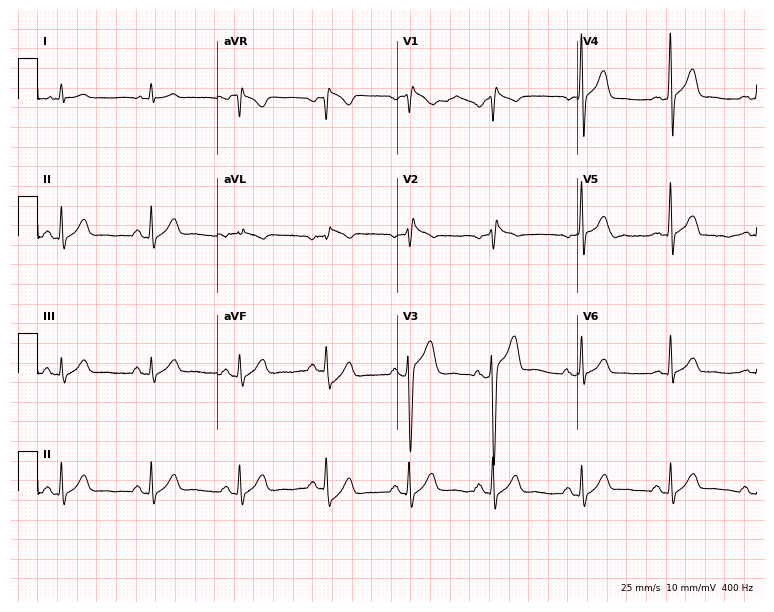
12-lead ECG from a male patient, 65 years old. Screened for six findings — first-degree AV block, right bundle branch block (RBBB), left bundle branch block (LBBB), sinus bradycardia, atrial fibrillation (AF), sinus tachycardia — none is recorded. Only these six findings were labelled.